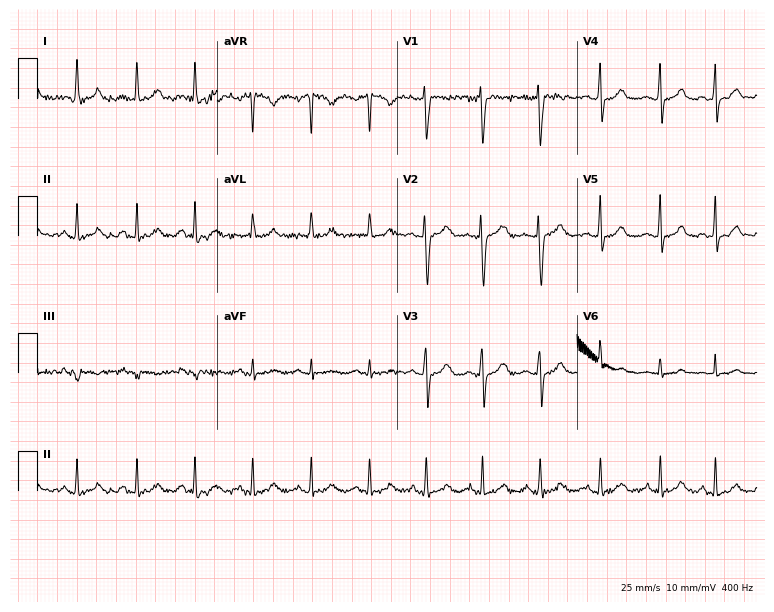
Resting 12-lead electrocardiogram. Patient: a 32-year-old female. Read as a normal ECG.